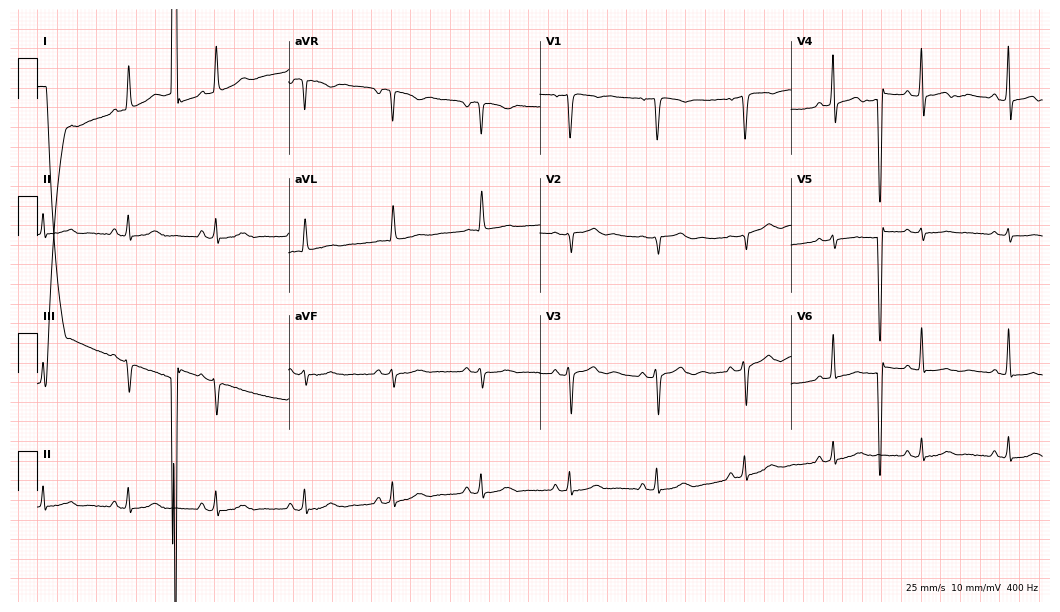
ECG (10.2-second recording at 400 Hz) — a 59-year-old woman. Labelled as a normal ECG.